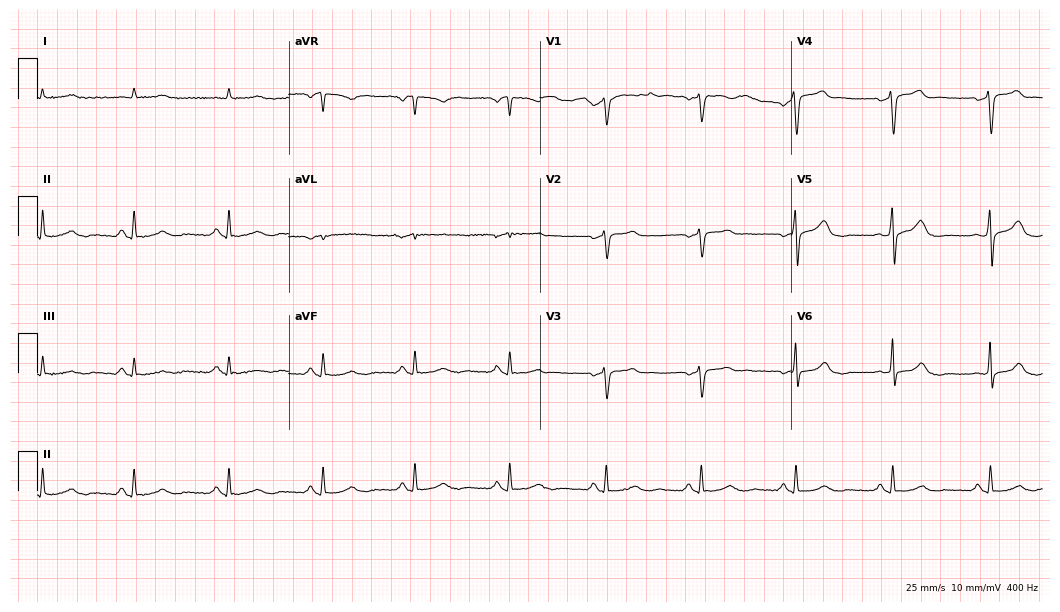
Electrocardiogram, a 60-year-old man. Overall reading on record: normal ECG.